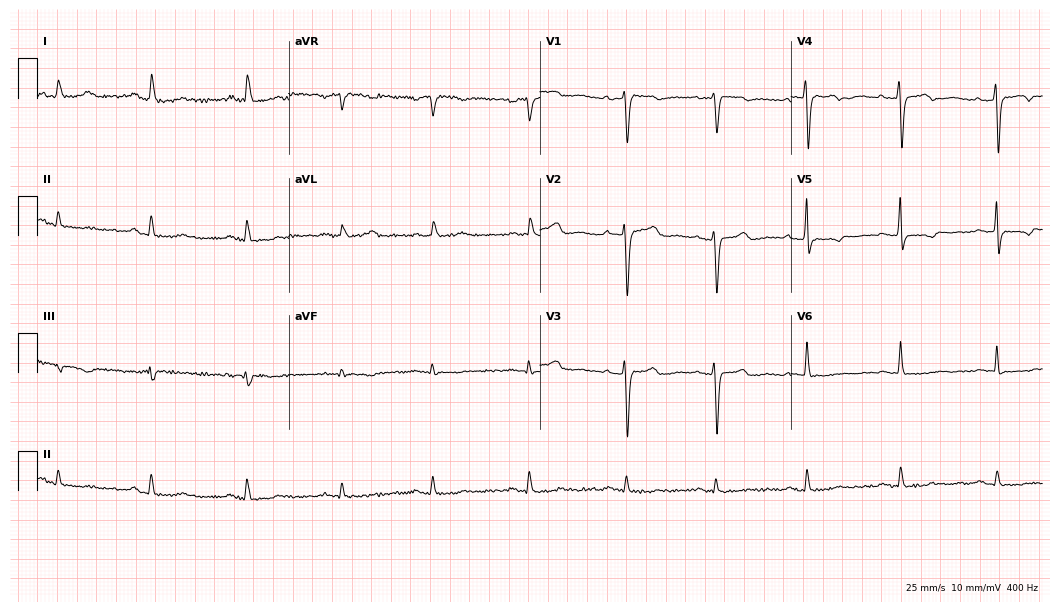
ECG (10.2-second recording at 400 Hz) — a woman, 40 years old. Screened for six findings — first-degree AV block, right bundle branch block, left bundle branch block, sinus bradycardia, atrial fibrillation, sinus tachycardia — none is recorded.